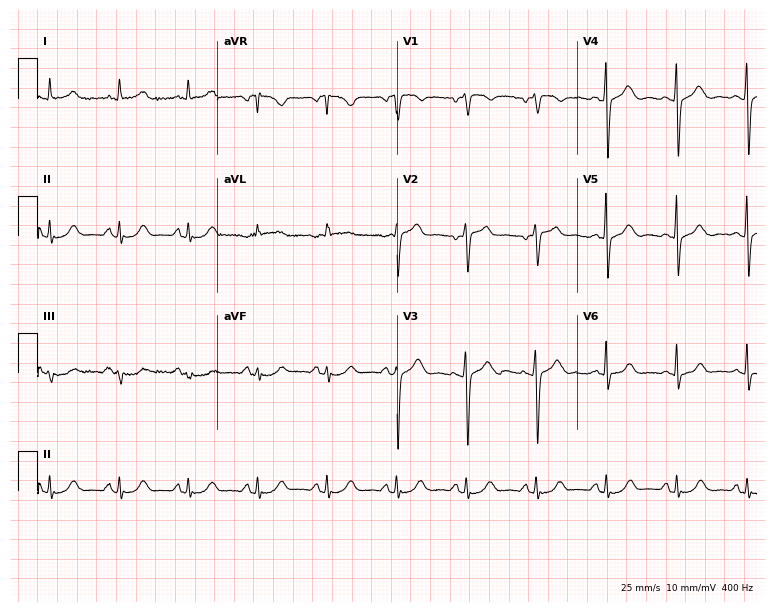
12-lead ECG (7.3-second recording at 400 Hz) from a 62-year-old woman. Screened for six findings — first-degree AV block, right bundle branch block, left bundle branch block, sinus bradycardia, atrial fibrillation, sinus tachycardia — none is recorded. Other findings, if any, are not listed.